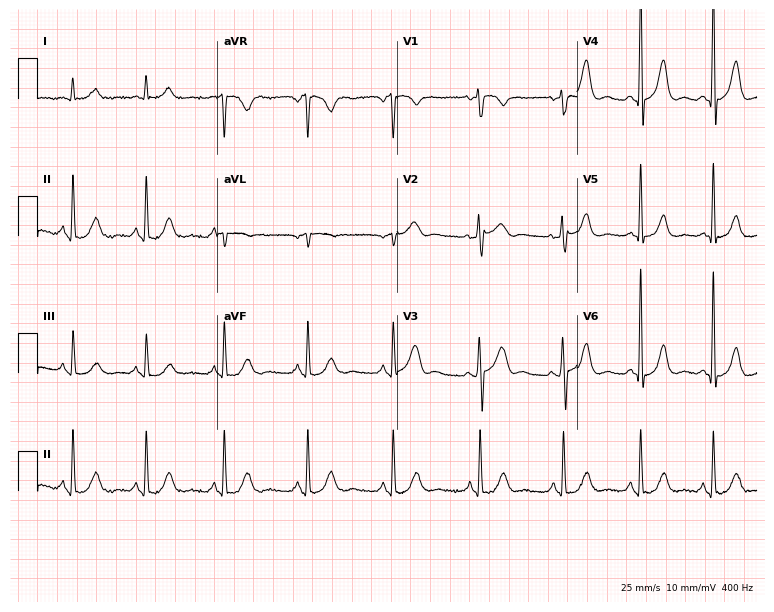
Electrocardiogram, a 62-year-old man. Of the six screened findings (first-degree AV block, right bundle branch block (RBBB), left bundle branch block (LBBB), sinus bradycardia, atrial fibrillation (AF), sinus tachycardia), none is recorded.